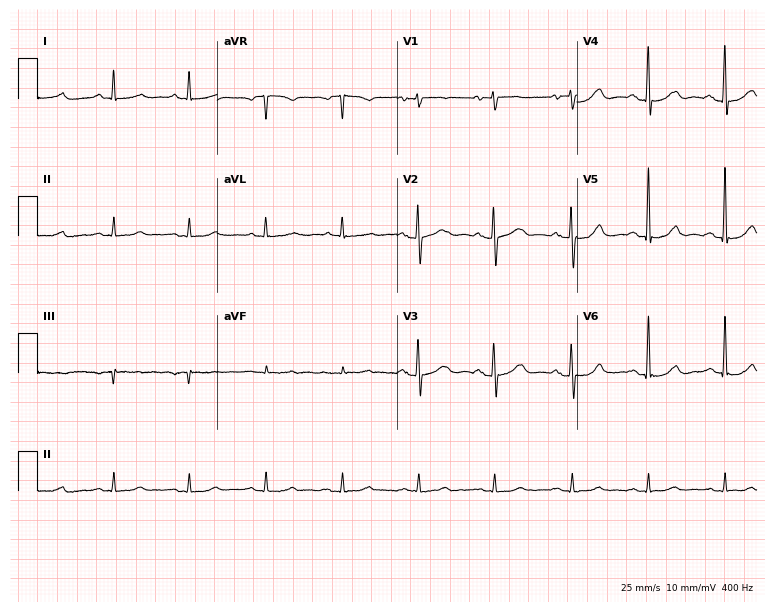
Standard 12-lead ECG recorded from a woman, 78 years old. None of these six findings is recorded: first-degree AV block, right bundle branch block, left bundle branch block, sinus bradycardia, atrial fibrillation, sinus tachycardia.